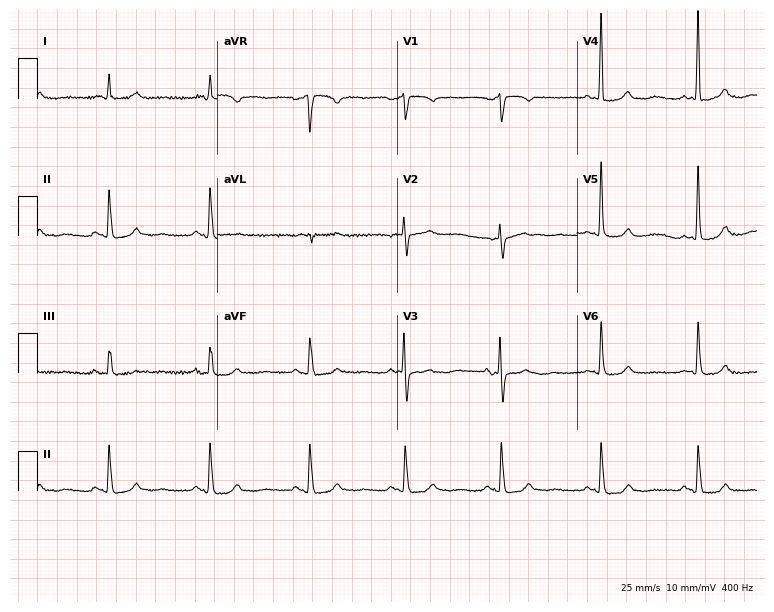
Resting 12-lead electrocardiogram. Patient: a female, 78 years old. None of these six findings is recorded: first-degree AV block, right bundle branch block, left bundle branch block, sinus bradycardia, atrial fibrillation, sinus tachycardia. Only these six findings were labelled.